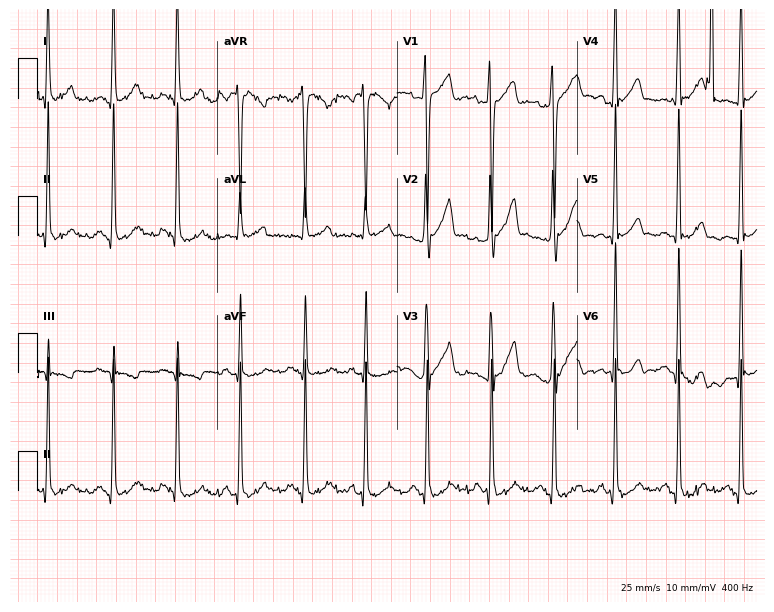
12-lead ECG (7.3-second recording at 400 Hz) from a woman, 29 years old. Screened for six findings — first-degree AV block, right bundle branch block, left bundle branch block, sinus bradycardia, atrial fibrillation, sinus tachycardia — none is recorded.